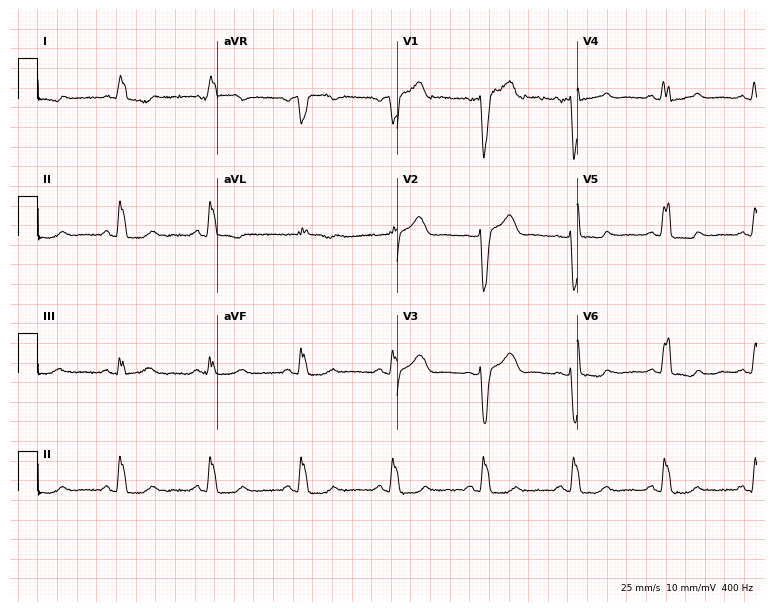
Electrocardiogram (7.3-second recording at 400 Hz), a woman, 58 years old. Interpretation includes left bundle branch block.